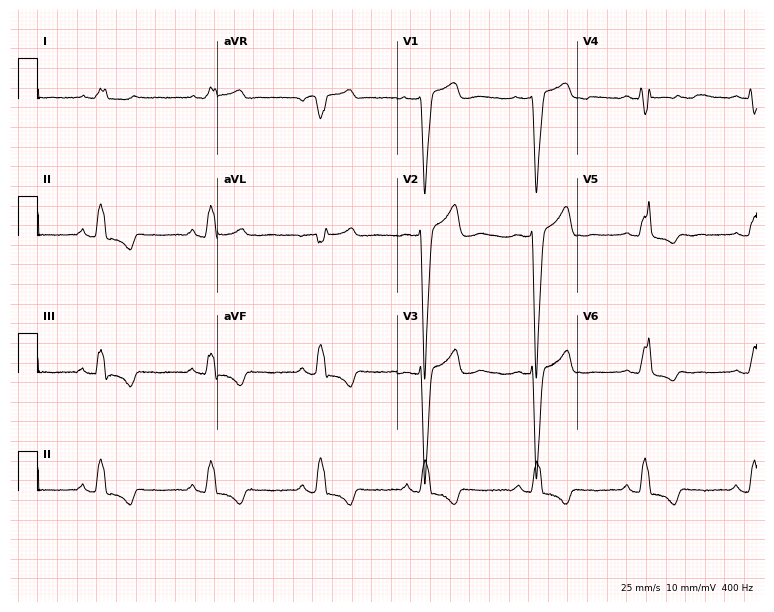
ECG (7.3-second recording at 400 Hz) — a female, 53 years old. Findings include left bundle branch block.